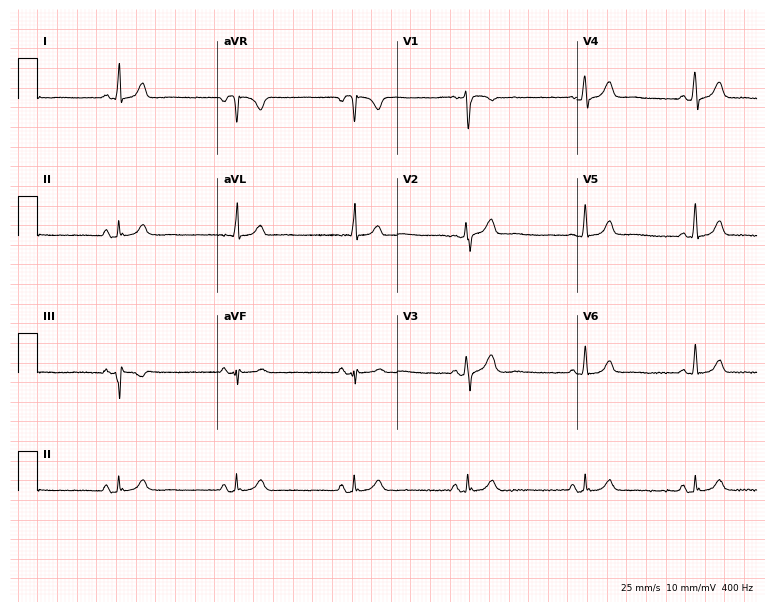
Electrocardiogram, a female patient, 36 years old. Of the six screened findings (first-degree AV block, right bundle branch block, left bundle branch block, sinus bradycardia, atrial fibrillation, sinus tachycardia), none is recorded.